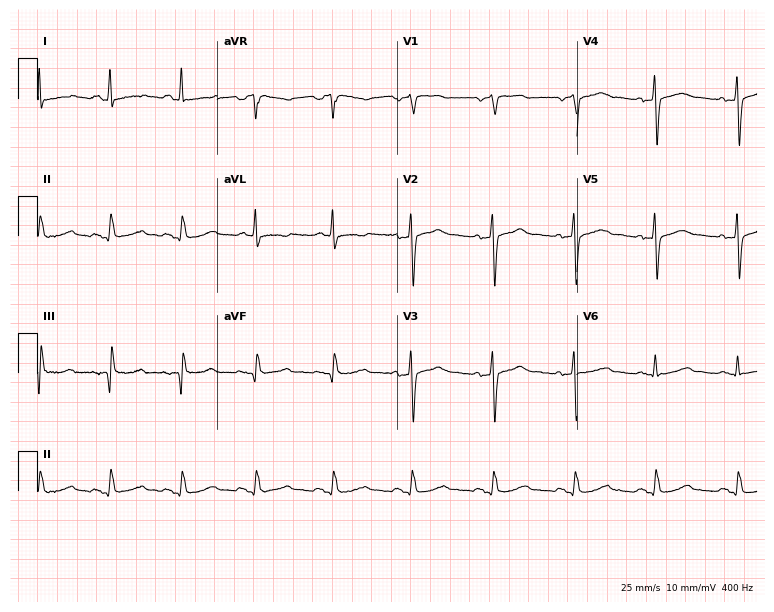
12-lead ECG from a 58-year-old female patient. No first-degree AV block, right bundle branch block, left bundle branch block, sinus bradycardia, atrial fibrillation or sinus tachycardia recorded for this tracing.